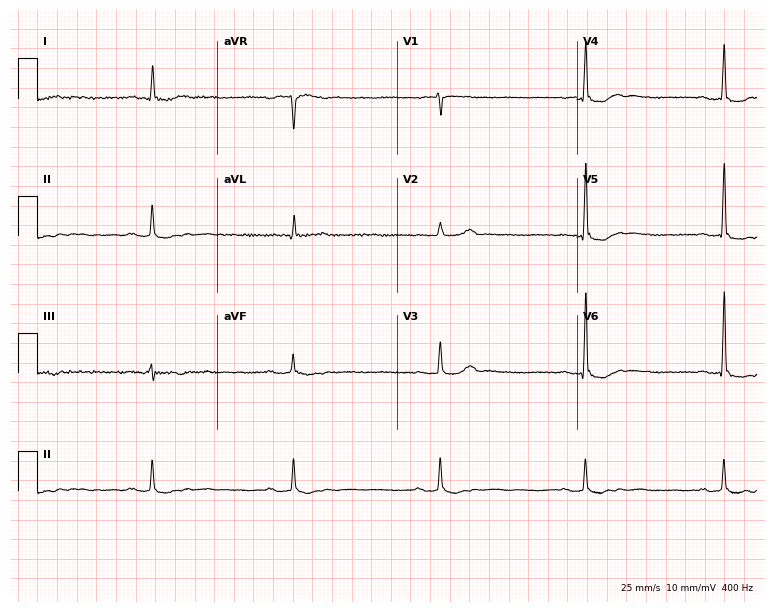
Electrocardiogram, a female, 80 years old. Interpretation includes first-degree AV block, sinus bradycardia (a sinus rate of 50 beats per minute or less).